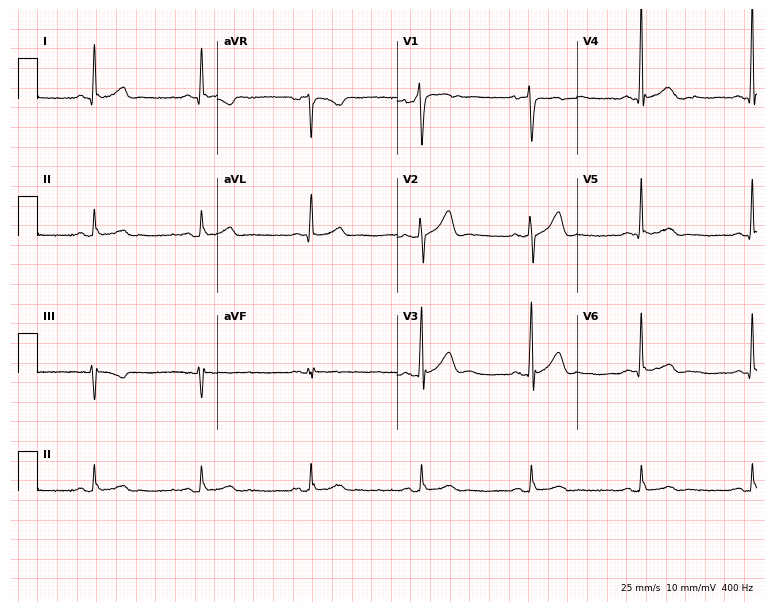
12-lead ECG from a 49-year-old man. No first-degree AV block, right bundle branch block (RBBB), left bundle branch block (LBBB), sinus bradycardia, atrial fibrillation (AF) or sinus tachycardia recorded for this tracing. Findings outside these six are not listed.